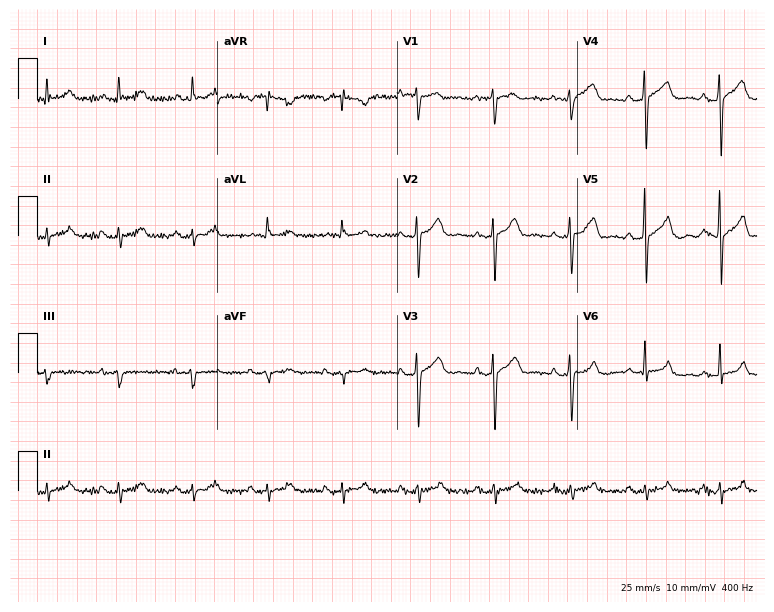
ECG (7.3-second recording at 400 Hz) — a 58-year-old male patient. Screened for six findings — first-degree AV block, right bundle branch block, left bundle branch block, sinus bradycardia, atrial fibrillation, sinus tachycardia — none is recorded. Only these six findings were labelled.